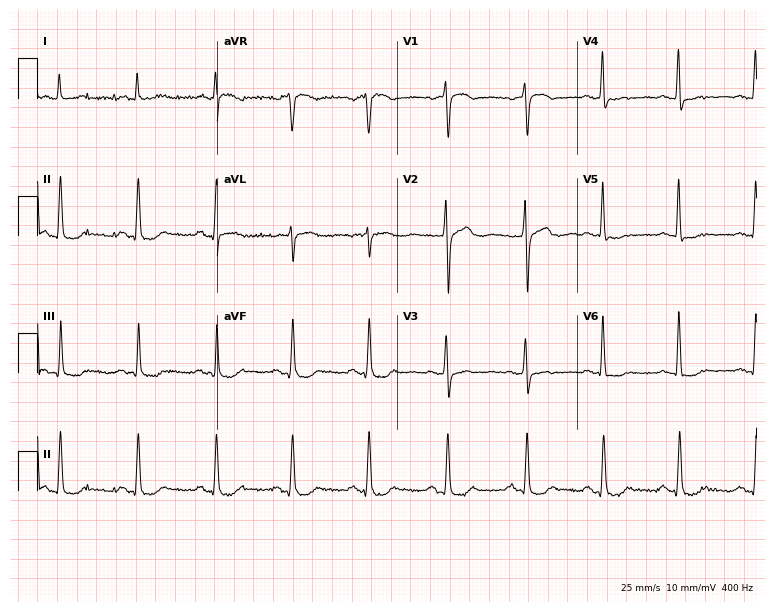
12-lead ECG from a woman, 55 years old (7.3-second recording at 400 Hz). No first-degree AV block, right bundle branch block (RBBB), left bundle branch block (LBBB), sinus bradycardia, atrial fibrillation (AF) or sinus tachycardia recorded for this tracing.